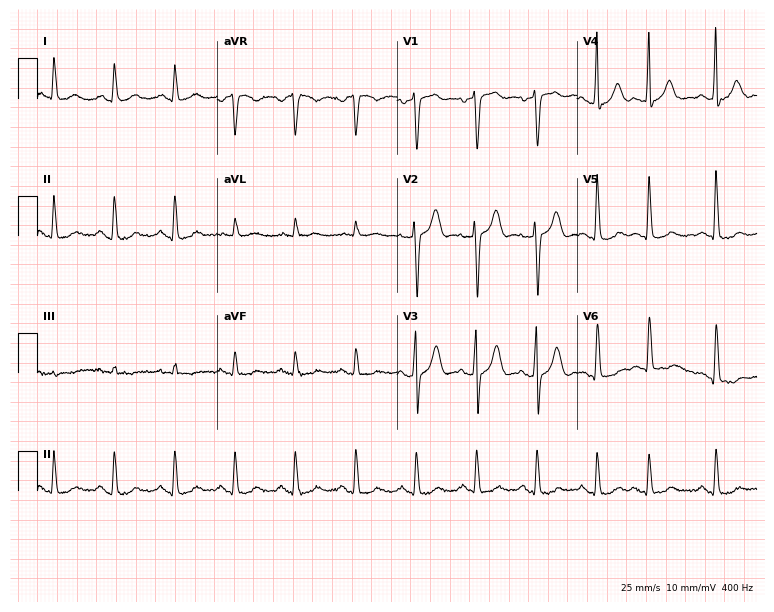
ECG (7.3-second recording at 400 Hz) — a male, 80 years old. Labelled as a normal ECG.